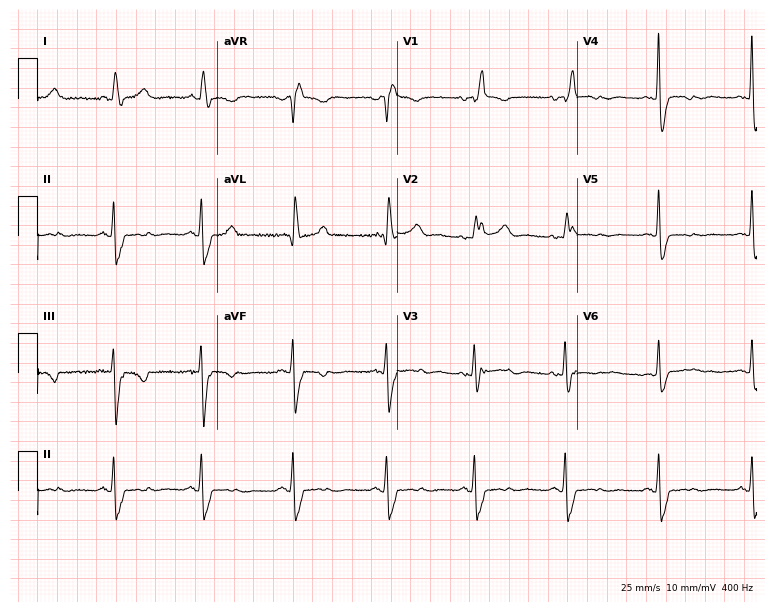
12-lead ECG (7.3-second recording at 400 Hz) from an 84-year-old woman. Findings include right bundle branch block.